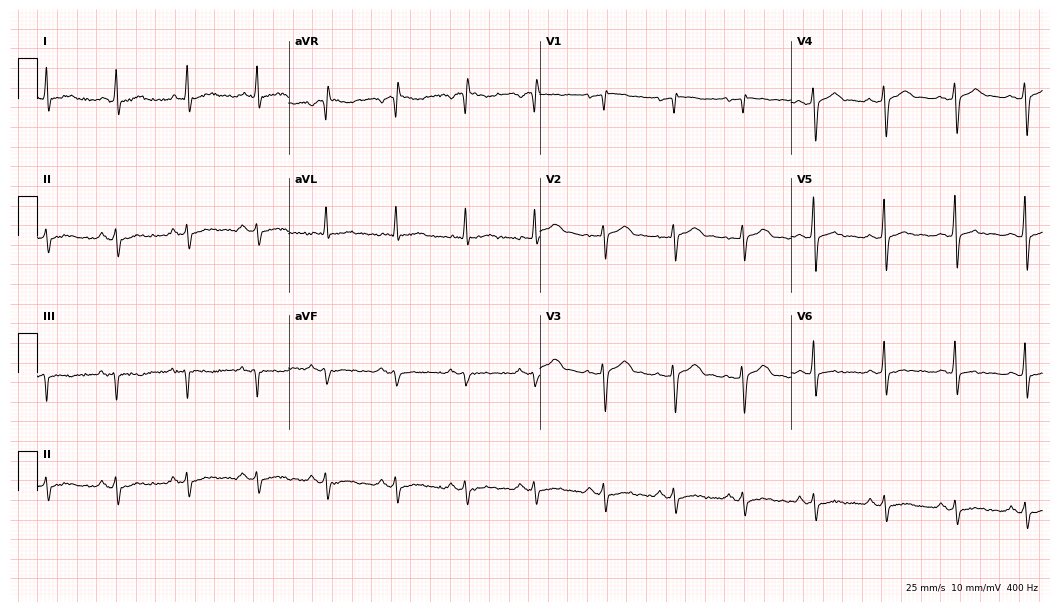
Electrocardiogram, a man, 46 years old. Of the six screened findings (first-degree AV block, right bundle branch block, left bundle branch block, sinus bradycardia, atrial fibrillation, sinus tachycardia), none is recorded. Findings outside these six are not listed.